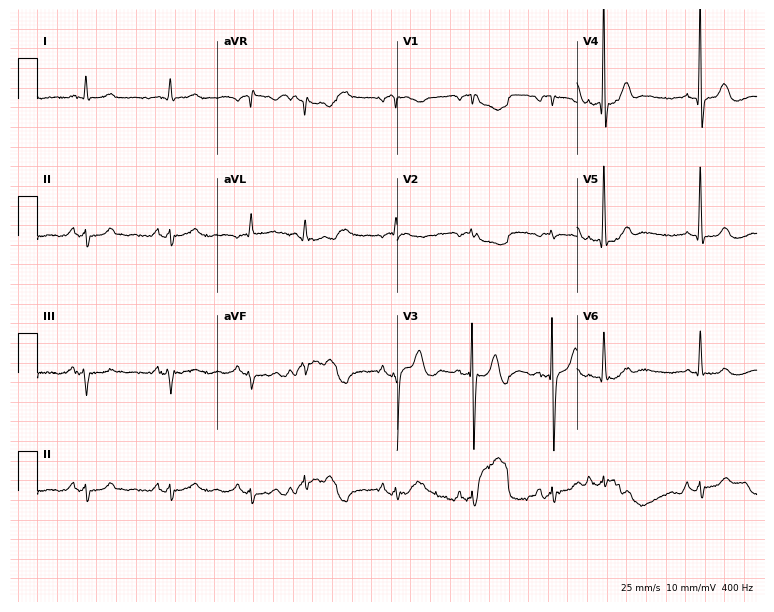
Electrocardiogram (7.3-second recording at 400 Hz), a 59-year-old male. Of the six screened findings (first-degree AV block, right bundle branch block (RBBB), left bundle branch block (LBBB), sinus bradycardia, atrial fibrillation (AF), sinus tachycardia), none is recorded. Only these six findings were labelled.